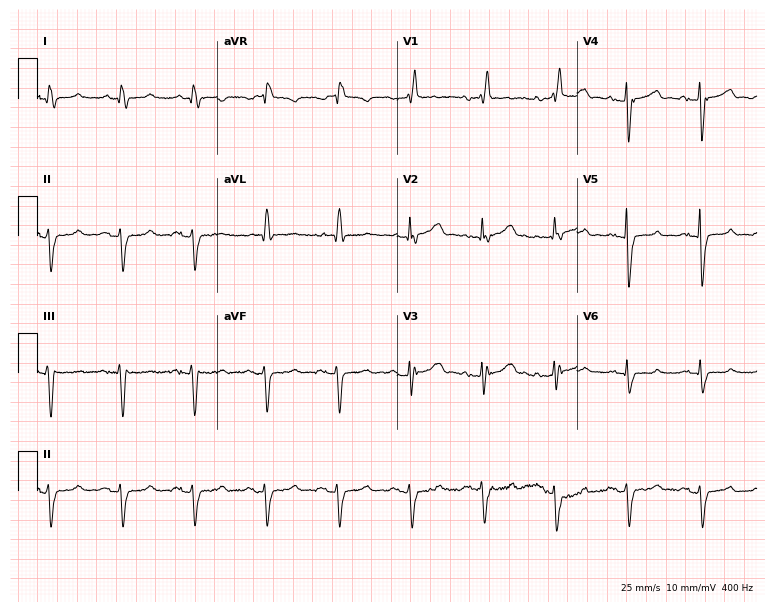
Standard 12-lead ECG recorded from a female patient, 81 years old. The tracing shows right bundle branch block (RBBB).